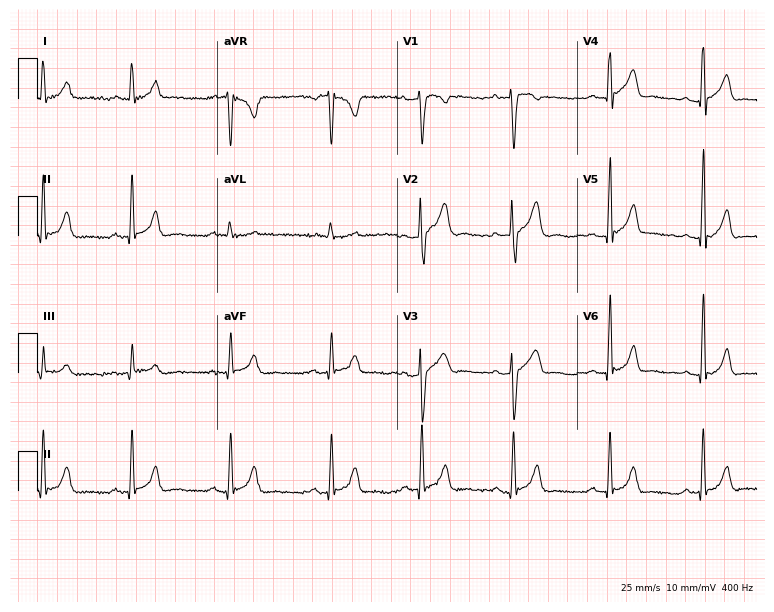
Resting 12-lead electrocardiogram (7.3-second recording at 400 Hz). Patient: a 27-year-old male. Read as a normal ECG.